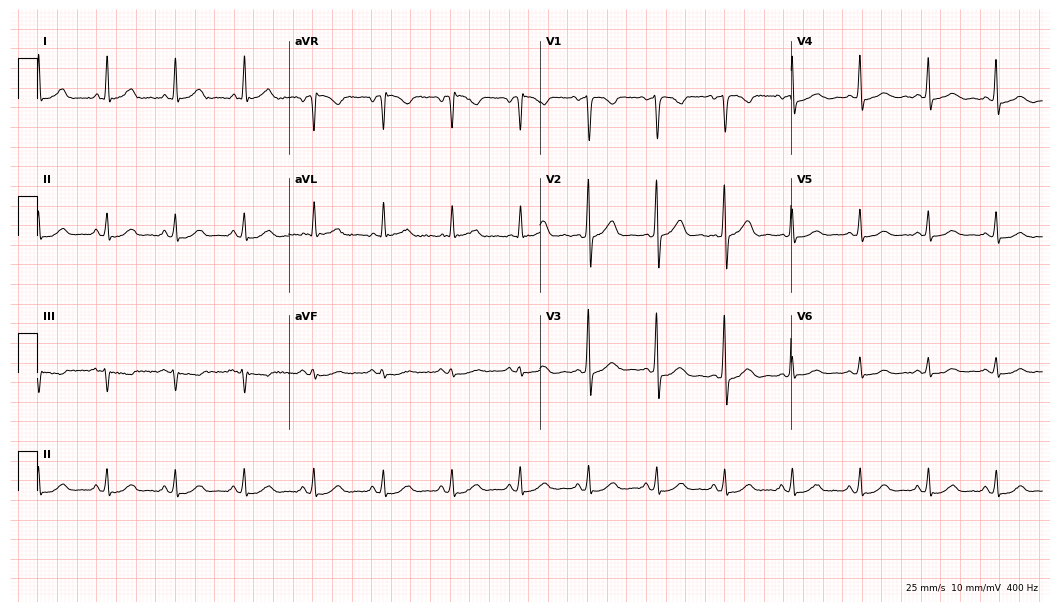
Standard 12-lead ECG recorded from a female, 54 years old. Read as a normal ECG.